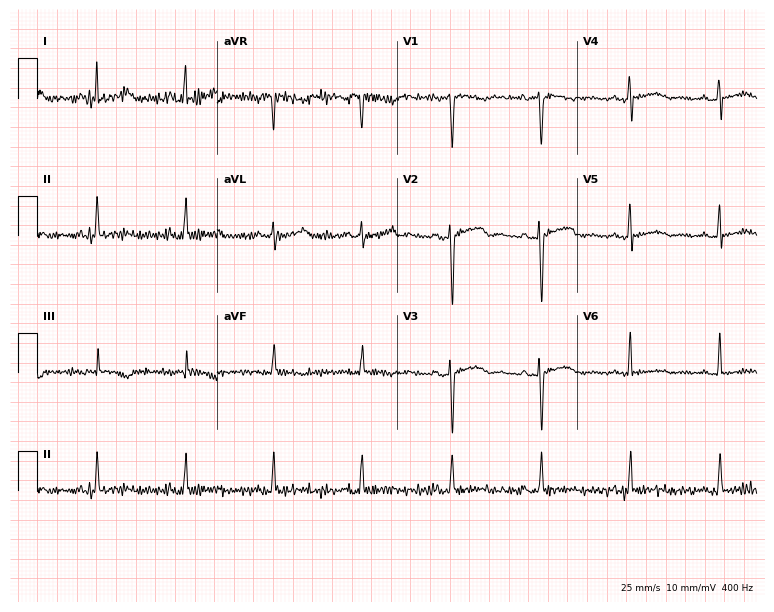
12-lead ECG (7.3-second recording at 400 Hz) from a 43-year-old female. Screened for six findings — first-degree AV block, right bundle branch block, left bundle branch block, sinus bradycardia, atrial fibrillation, sinus tachycardia — none is recorded.